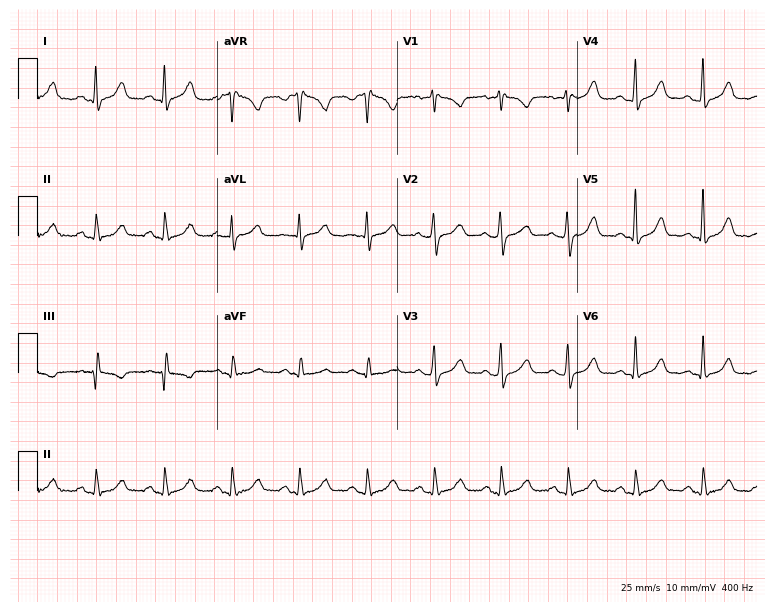
Resting 12-lead electrocardiogram (7.3-second recording at 400 Hz). Patient: a female, 47 years old. Read as a normal ECG.